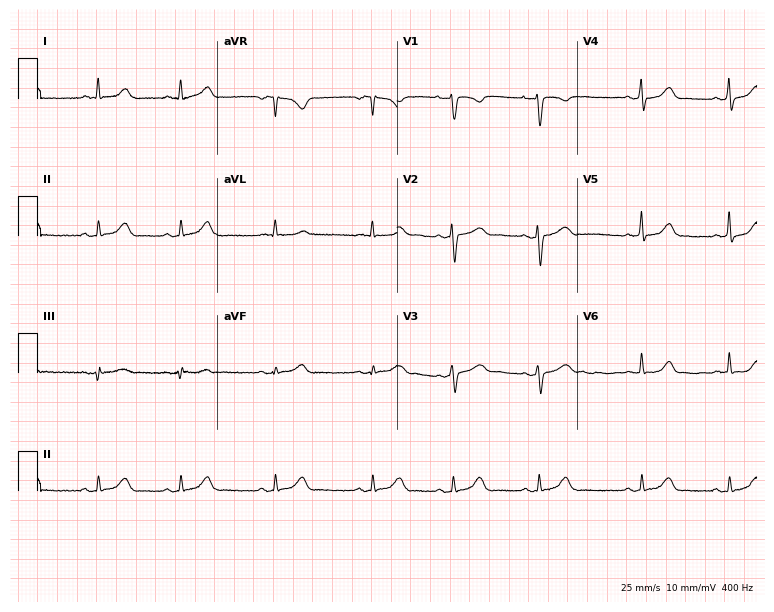
12-lead ECG from a female, 31 years old (7.3-second recording at 400 Hz). Recorded interpretation: within normal limits.